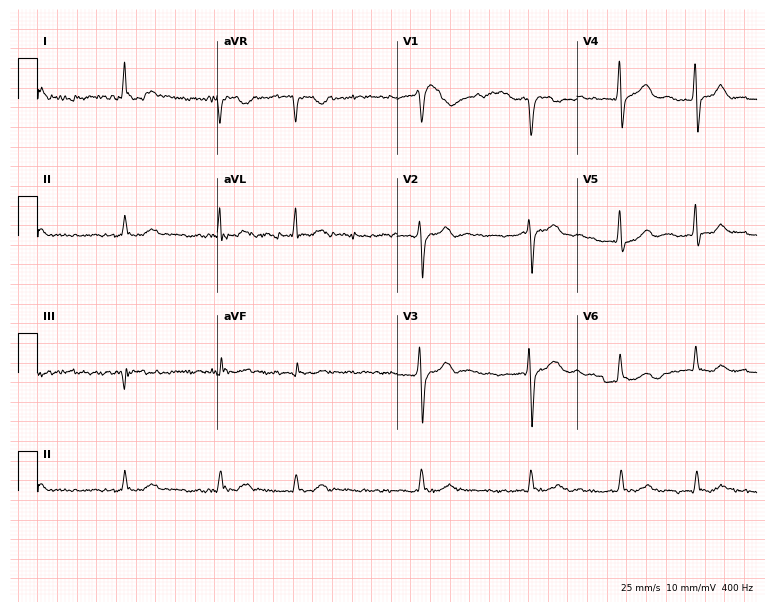
12-lead ECG from a man, 66 years old (7.3-second recording at 400 Hz). Shows atrial fibrillation.